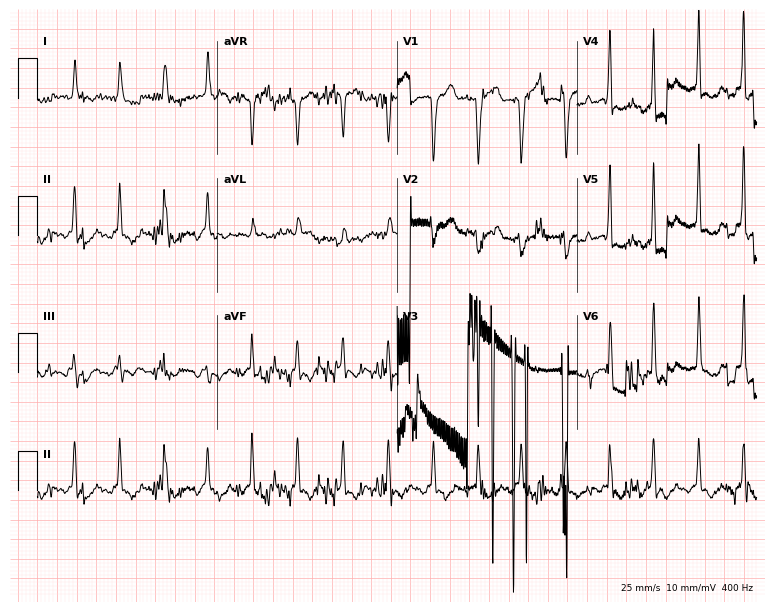
Standard 12-lead ECG recorded from a 67-year-old man. None of these six findings is recorded: first-degree AV block, right bundle branch block (RBBB), left bundle branch block (LBBB), sinus bradycardia, atrial fibrillation (AF), sinus tachycardia.